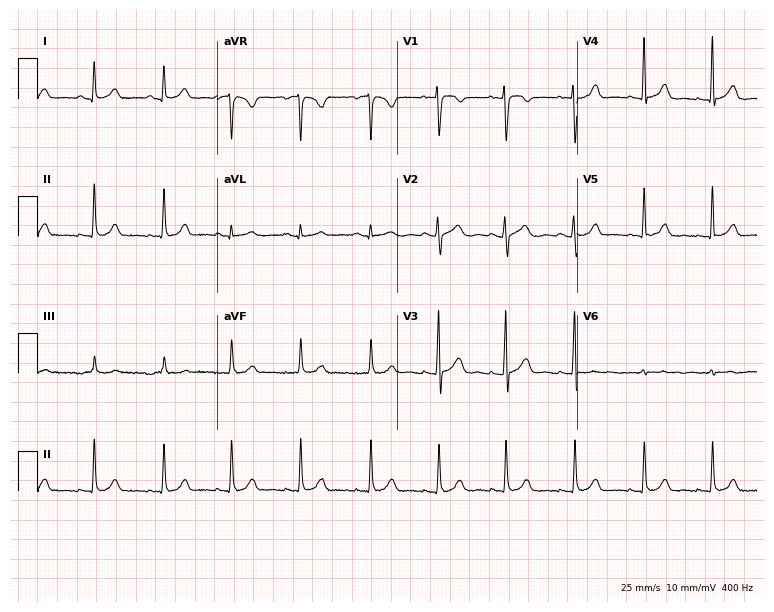
ECG — a 31-year-old woman. Labelled as a normal ECG.